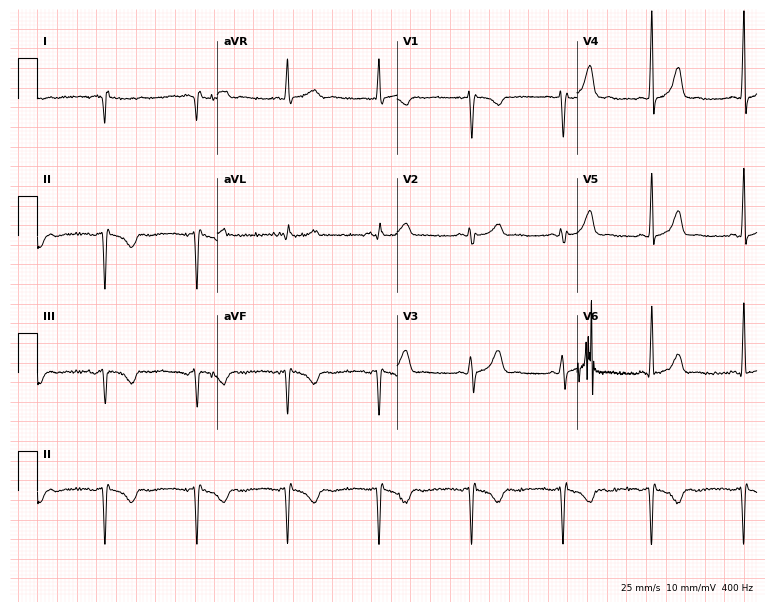
12-lead ECG from a 22-year-old female (7.3-second recording at 400 Hz). No first-degree AV block, right bundle branch block (RBBB), left bundle branch block (LBBB), sinus bradycardia, atrial fibrillation (AF) or sinus tachycardia recorded for this tracing.